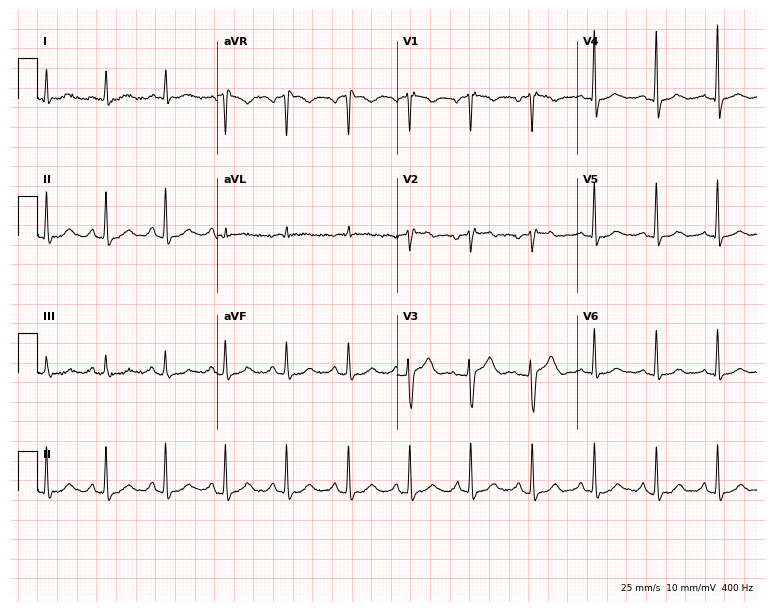
12-lead ECG from a woman, 36 years old. Labelled as a normal ECG.